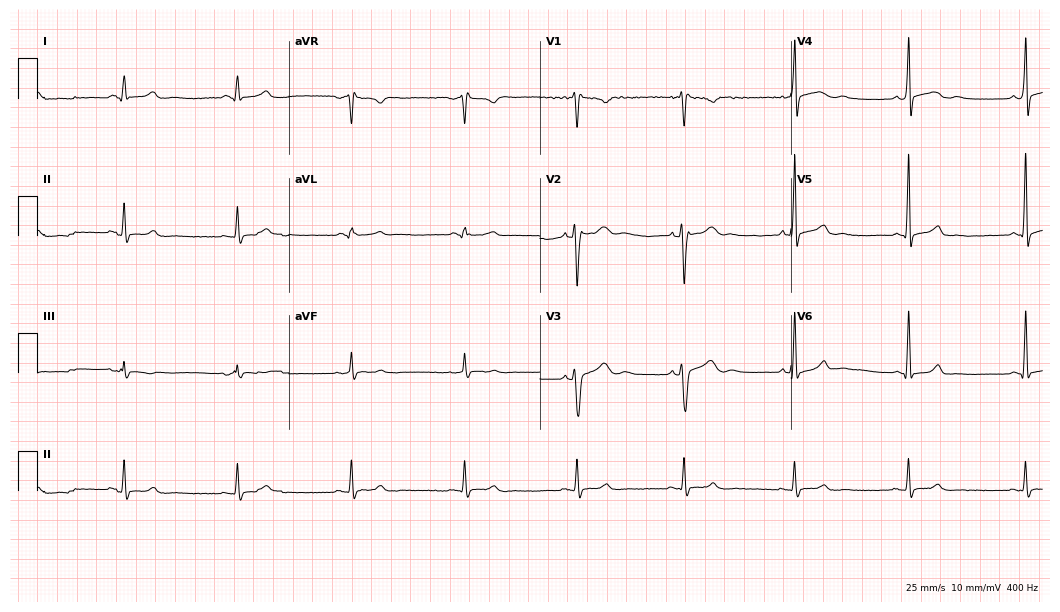
Electrocardiogram, a male patient, 25 years old. Of the six screened findings (first-degree AV block, right bundle branch block, left bundle branch block, sinus bradycardia, atrial fibrillation, sinus tachycardia), none is recorded. Other findings, if any, are not listed.